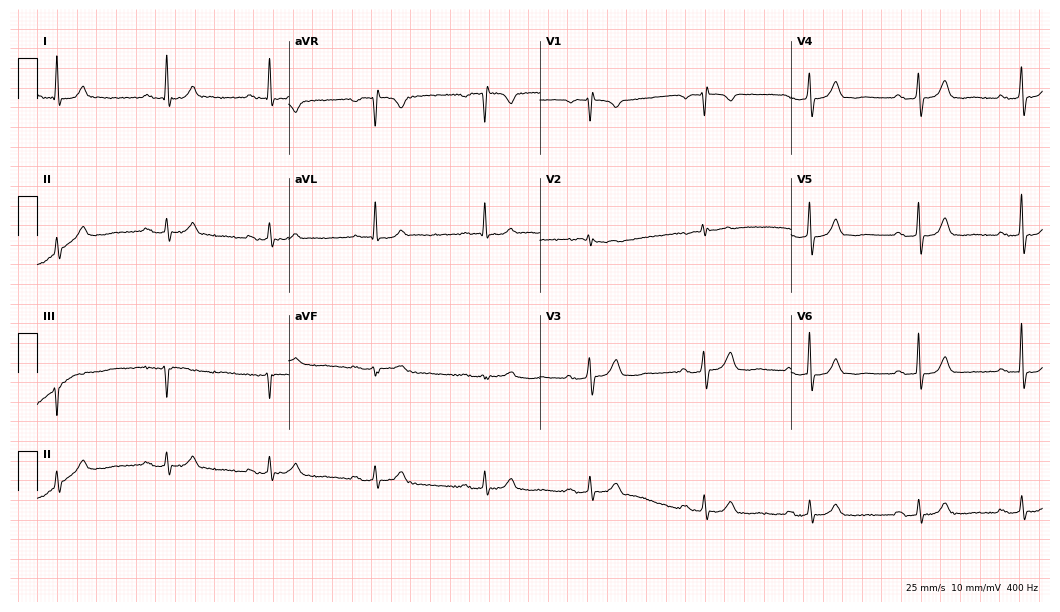
12-lead ECG from a woman, 70 years old. Shows first-degree AV block.